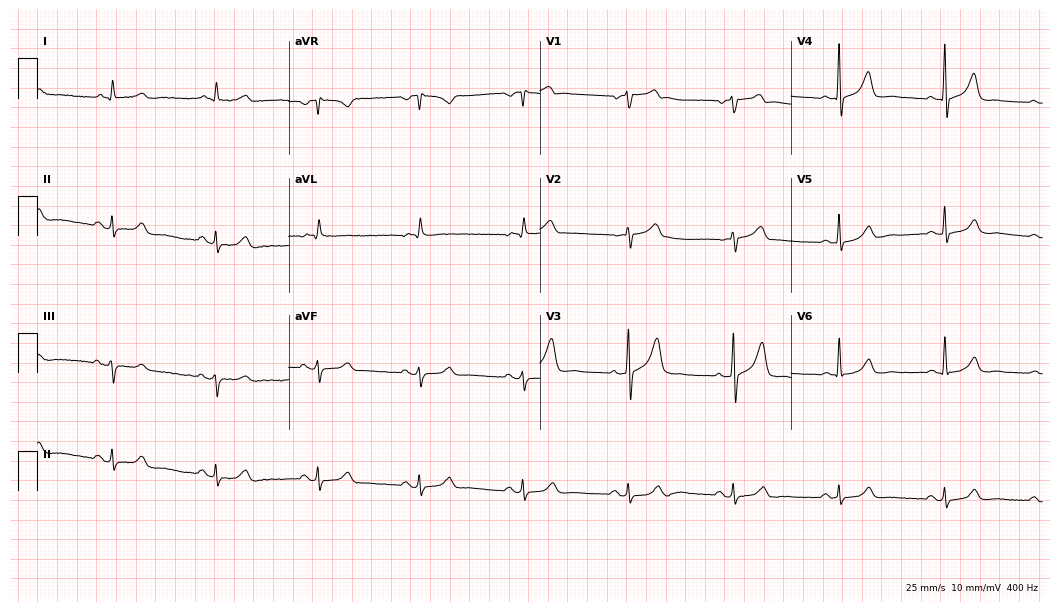
Electrocardiogram (10.2-second recording at 400 Hz), a male, 76 years old. Overall reading on record: normal ECG.